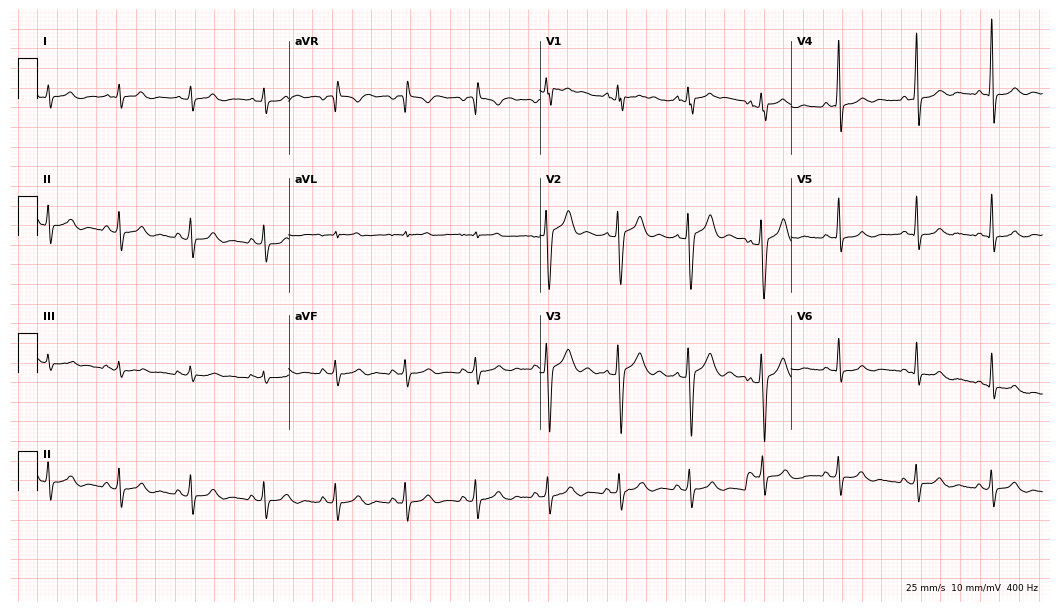
12-lead ECG (10.2-second recording at 400 Hz) from a man, 22 years old. Labelled as a normal ECG.